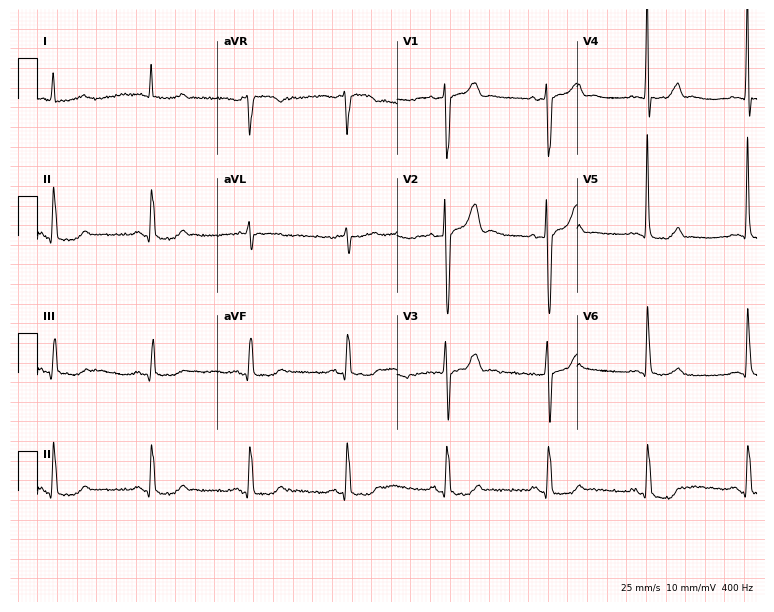
12-lead ECG from a 65-year-old man. Recorded interpretation: within normal limits.